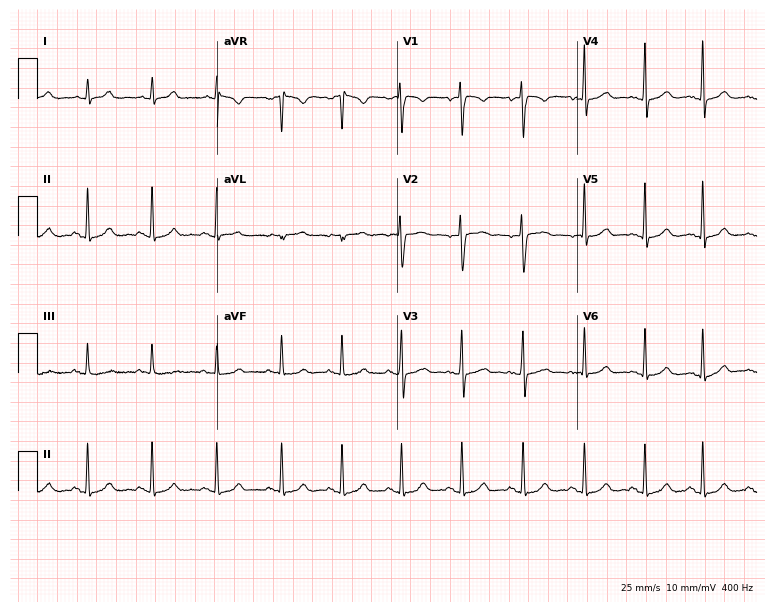
ECG (7.3-second recording at 400 Hz) — a 34-year-old female patient. Labelled as a normal ECG.